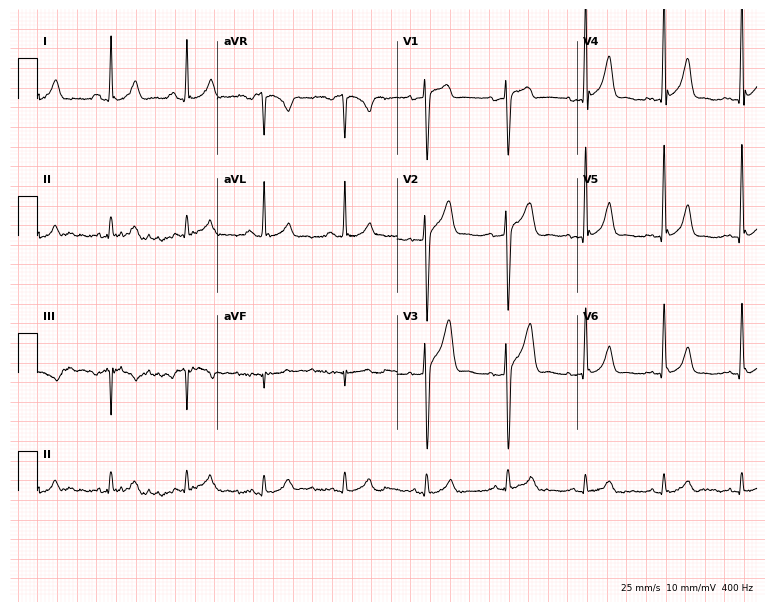
12-lead ECG from a male patient, 50 years old (7.3-second recording at 400 Hz). No first-degree AV block, right bundle branch block, left bundle branch block, sinus bradycardia, atrial fibrillation or sinus tachycardia recorded for this tracing. Other findings, if any, are not listed.